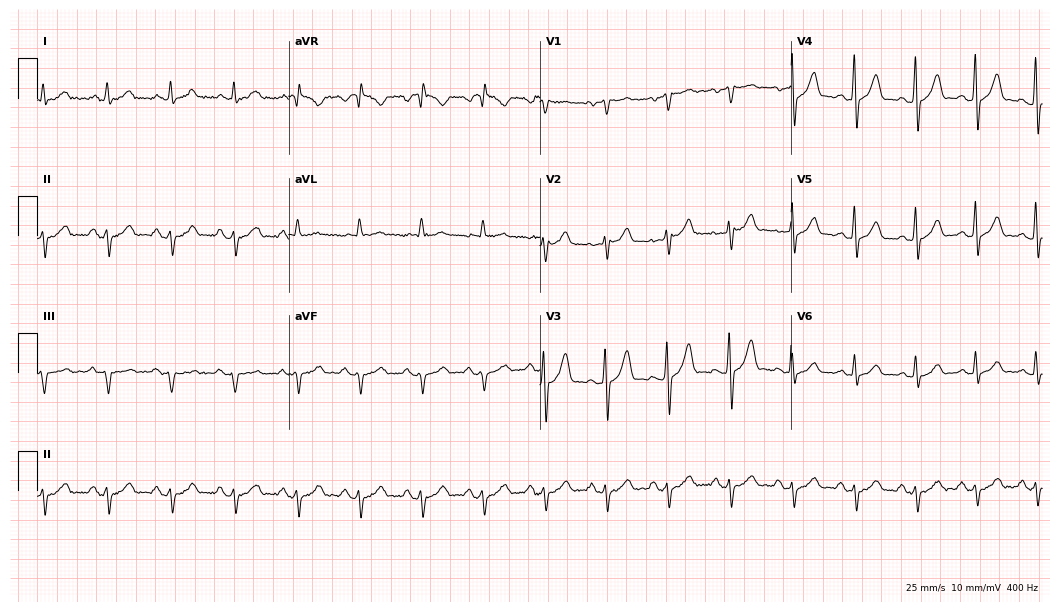
12-lead ECG from a 45-year-old man. Screened for six findings — first-degree AV block, right bundle branch block (RBBB), left bundle branch block (LBBB), sinus bradycardia, atrial fibrillation (AF), sinus tachycardia — none is recorded. Other findings, if any, are not listed.